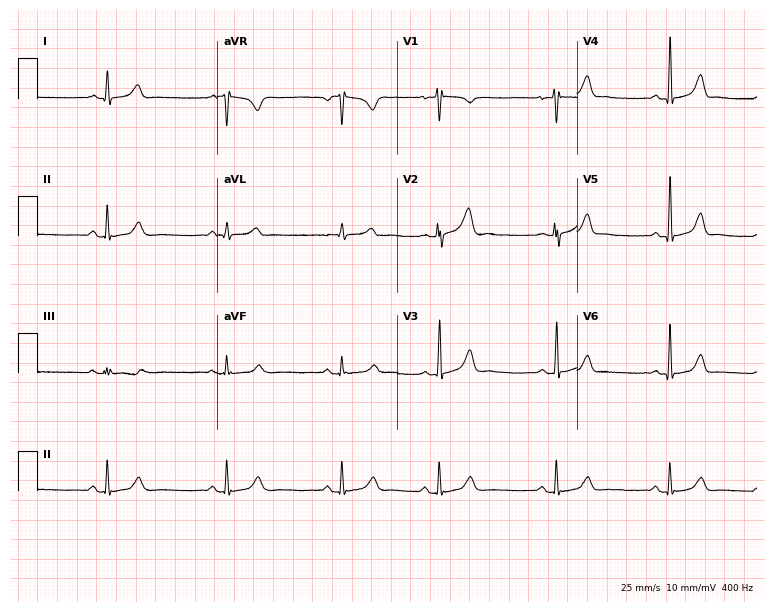
Electrocardiogram (7.3-second recording at 400 Hz), a 24-year-old woman. Of the six screened findings (first-degree AV block, right bundle branch block (RBBB), left bundle branch block (LBBB), sinus bradycardia, atrial fibrillation (AF), sinus tachycardia), none is recorded.